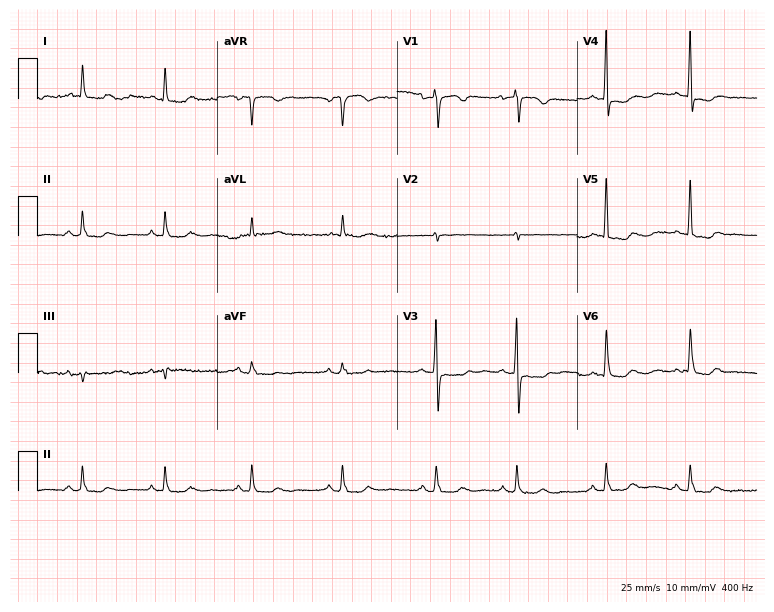
ECG — a 66-year-old female patient. Screened for six findings — first-degree AV block, right bundle branch block, left bundle branch block, sinus bradycardia, atrial fibrillation, sinus tachycardia — none is recorded. Only these six findings were labelled.